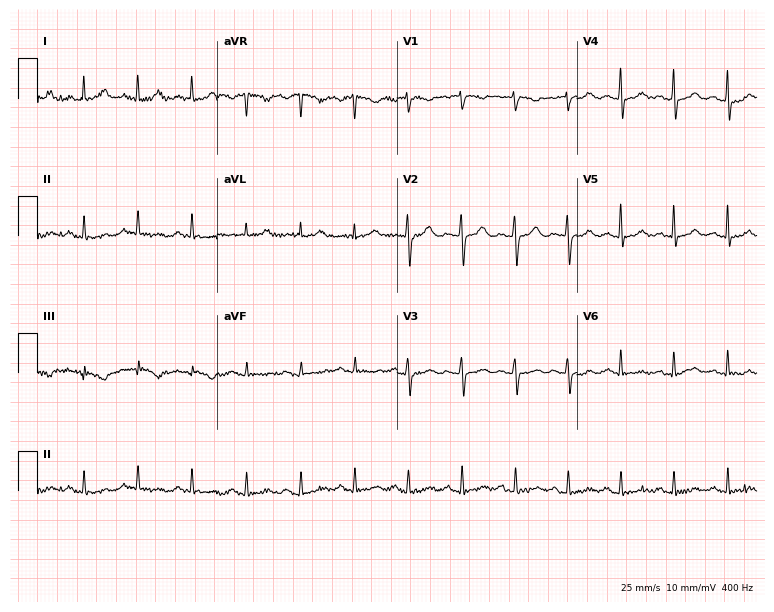
ECG — a 64-year-old female patient. Findings include sinus tachycardia (a sinus rate of 100 beats per minute or more).